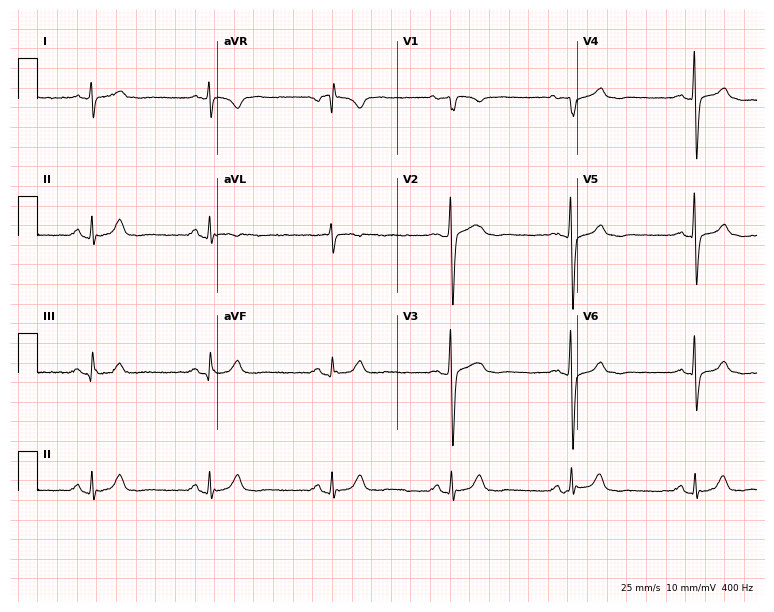
Electrocardiogram, a 67-year-old woman. Interpretation includes sinus bradycardia (a sinus rate of 50 beats per minute or less).